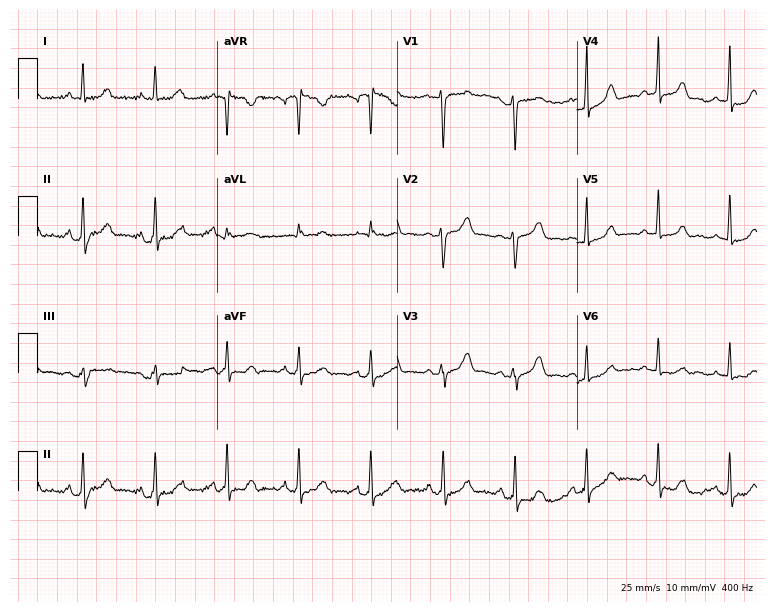
12-lead ECG (7.3-second recording at 400 Hz) from a 50-year-old woman. Labelled as a normal ECG.